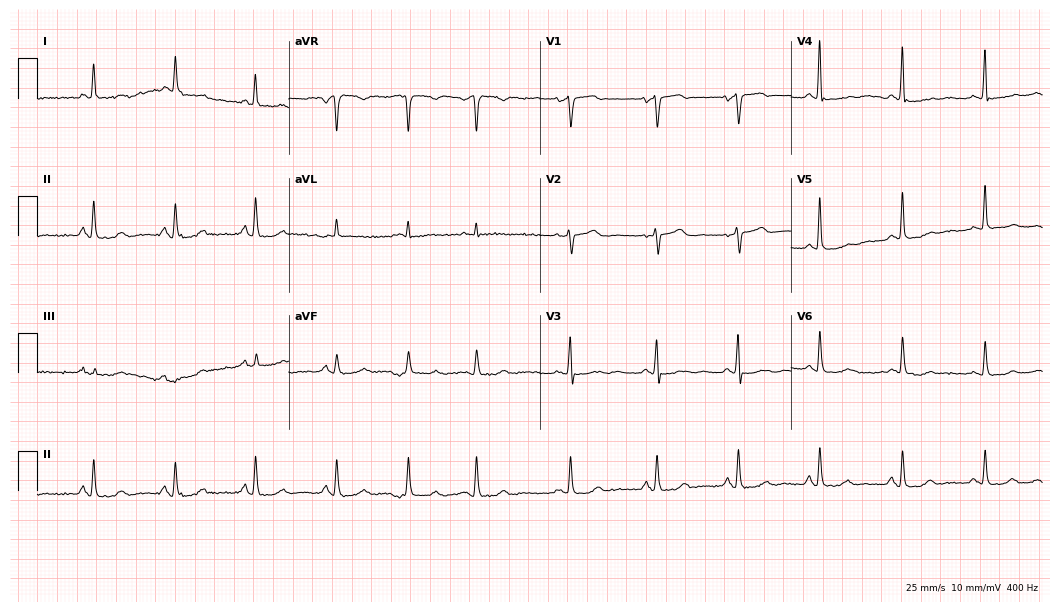
ECG (10.2-second recording at 400 Hz) — a 73-year-old woman. Screened for six findings — first-degree AV block, right bundle branch block, left bundle branch block, sinus bradycardia, atrial fibrillation, sinus tachycardia — none is recorded.